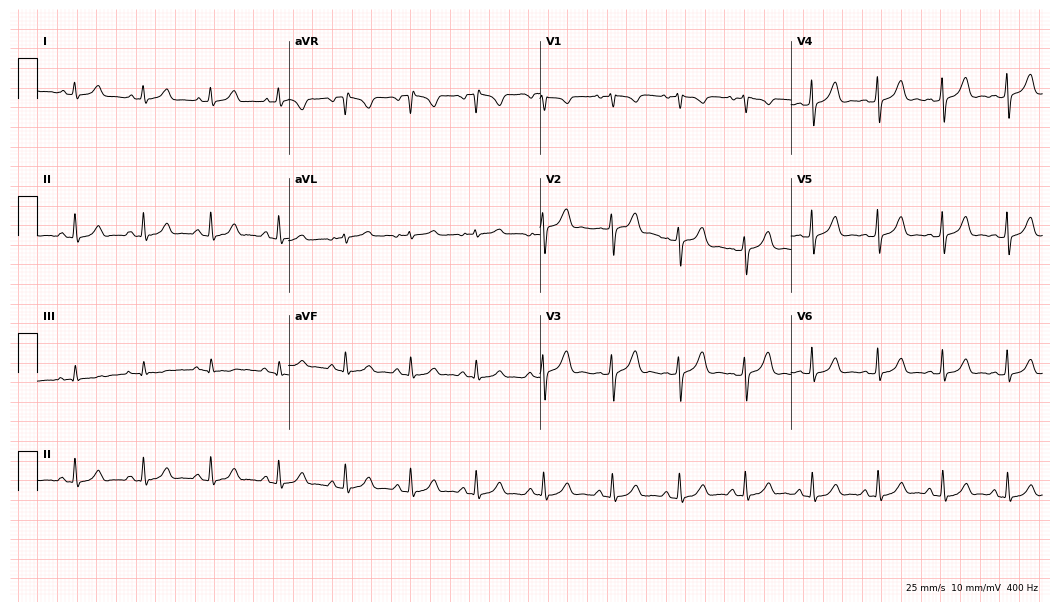
Electrocardiogram, a 27-year-old female. Overall reading on record: normal ECG.